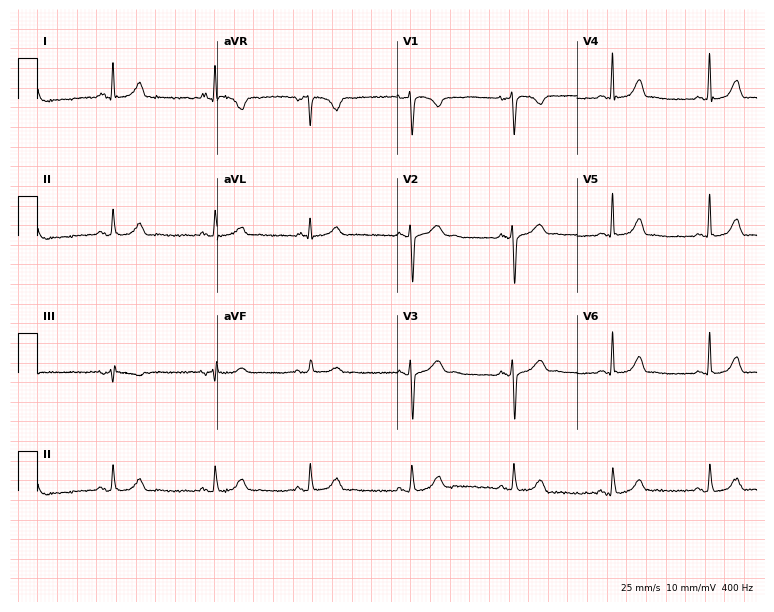
Electrocardiogram, a female, 37 years old. Overall reading on record: normal ECG.